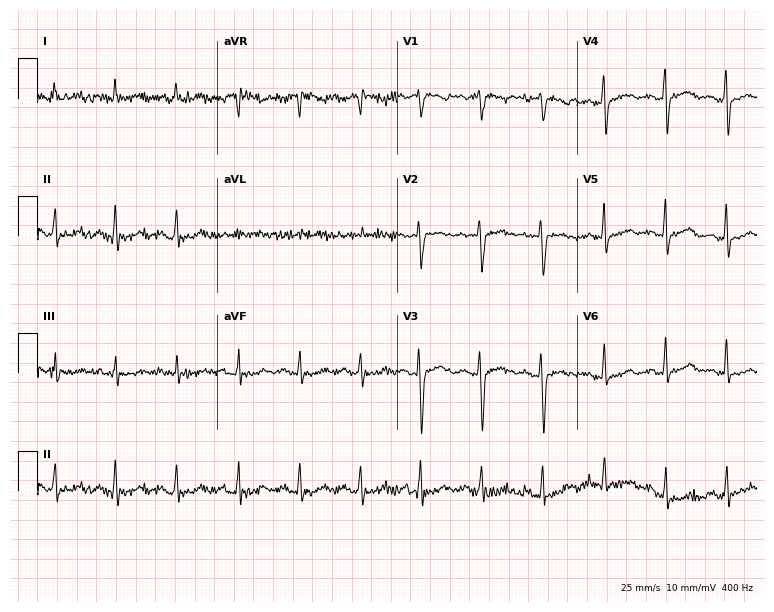
Electrocardiogram (7.3-second recording at 400 Hz), a 24-year-old female patient. Of the six screened findings (first-degree AV block, right bundle branch block, left bundle branch block, sinus bradycardia, atrial fibrillation, sinus tachycardia), none is recorded.